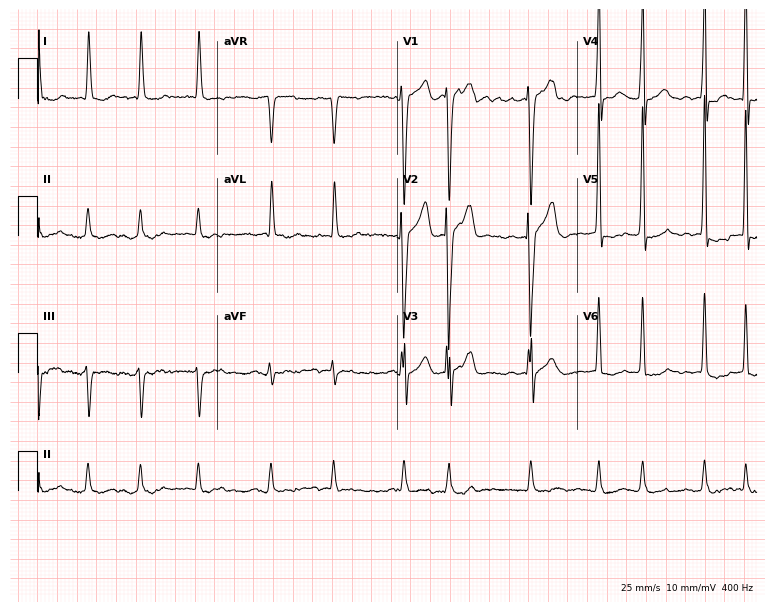
12-lead ECG from a 75-year-old male patient. Shows atrial fibrillation (AF).